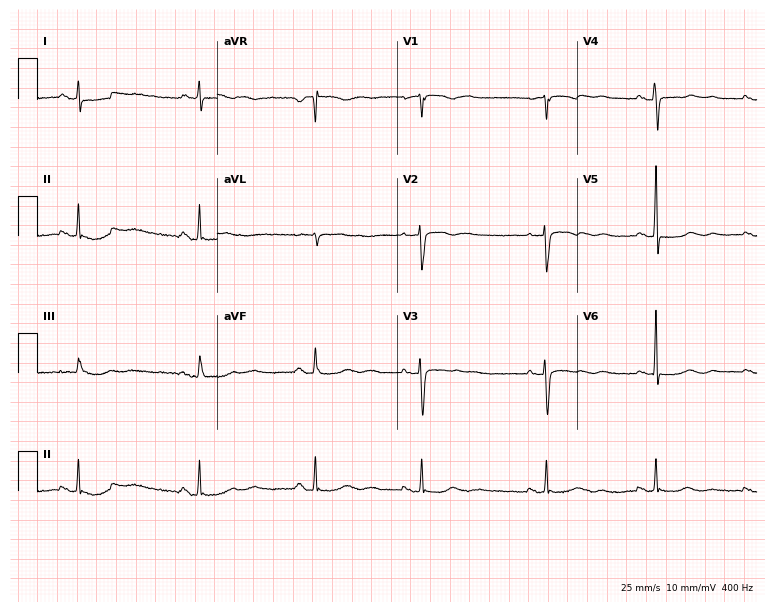
Resting 12-lead electrocardiogram (7.3-second recording at 400 Hz). Patient: a female, 63 years old. None of these six findings is recorded: first-degree AV block, right bundle branch block, left bundle branch block, sinus bradycardia, atrial fibrillation, sinus tachycardia. Findings outside these six are not listed.